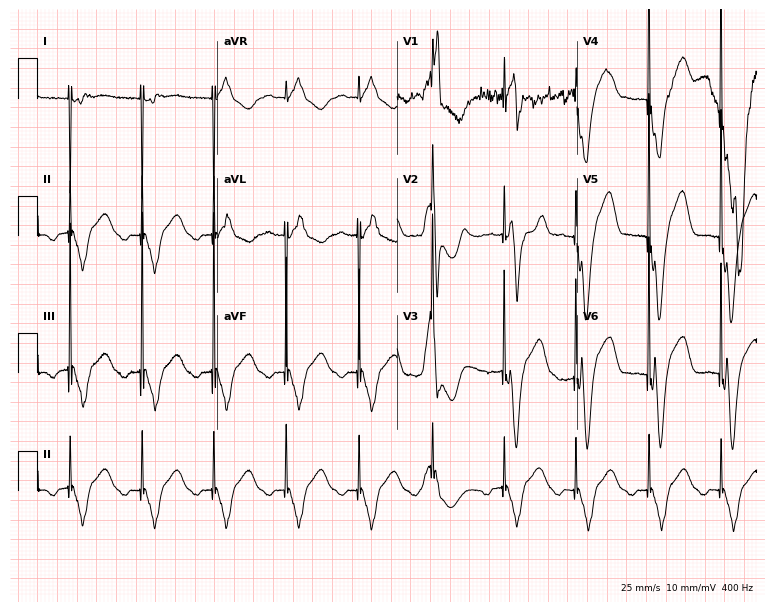
Electrocardiogram, a man, 79 years old. Of the six screened findings (first-degree AV block, right bundle branch block, left bundle branch block, sinus bradycardia, atrial fibrillation, sinus tachycardia), none is recorded. Other findings, if any, are not listed.